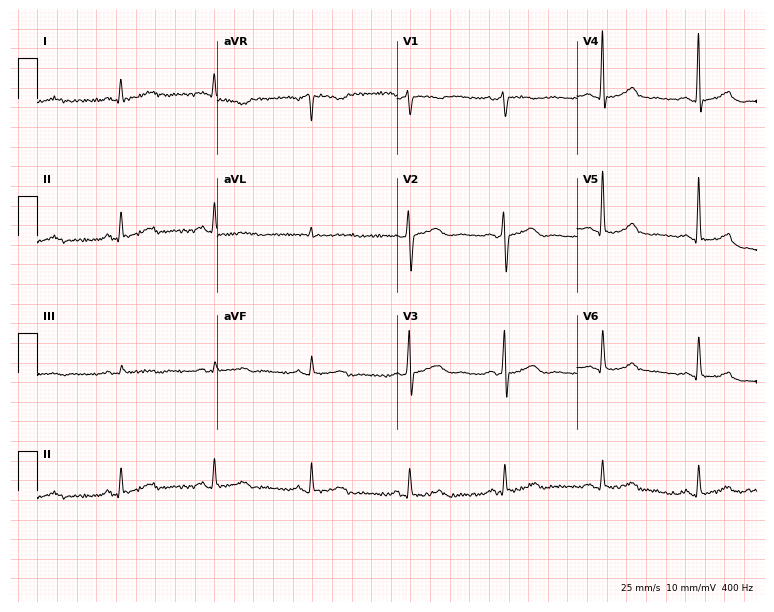
Standard 12-lead ECG recorded from a male patient, 61 years old (7.3-second recording at 400 Hz). None of these six findings is recorded: first-degree AV block, right bundle branch block, left bundle branch block, sinus bradycardia, atrial fibrillation, sinus tachycardia.